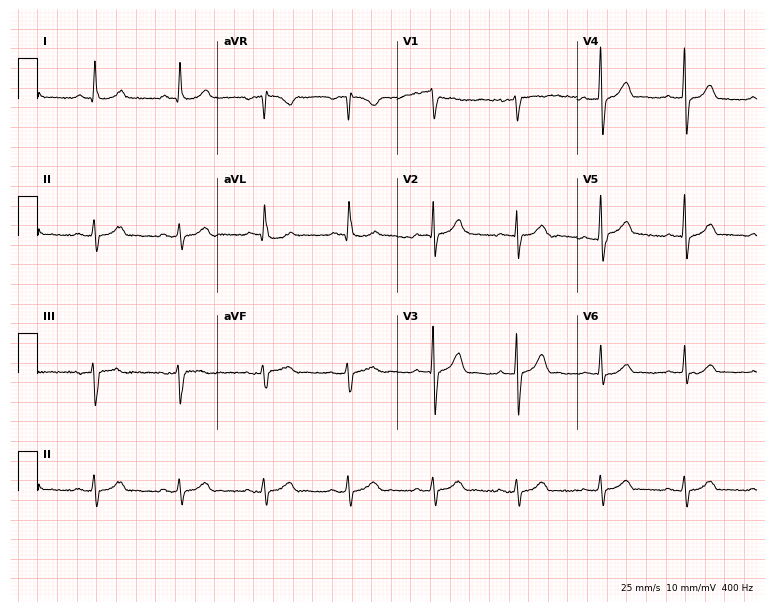
Resting 12-lead electrocardiogram. Patient: a man, 75 years old. None of these six findings is recorded: first-degree AV block, right bundle branch block, left bundle branch block, sinus bradycardia, atrial fibrillation, sinus tachycardia.